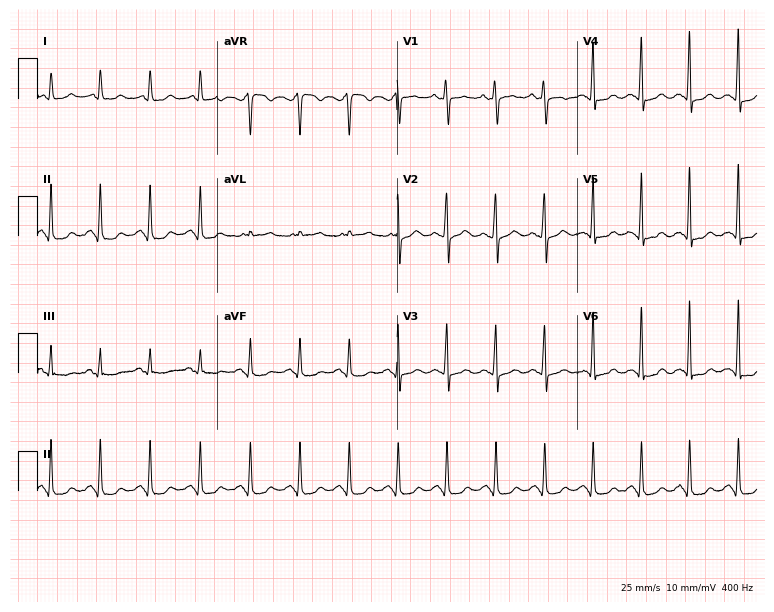
ECG (7.3-second recording at 400 Hz) — a 42-year-old female patient. Findings include sinus tachycardia (a sinus rate of 100 beats per minute or more).